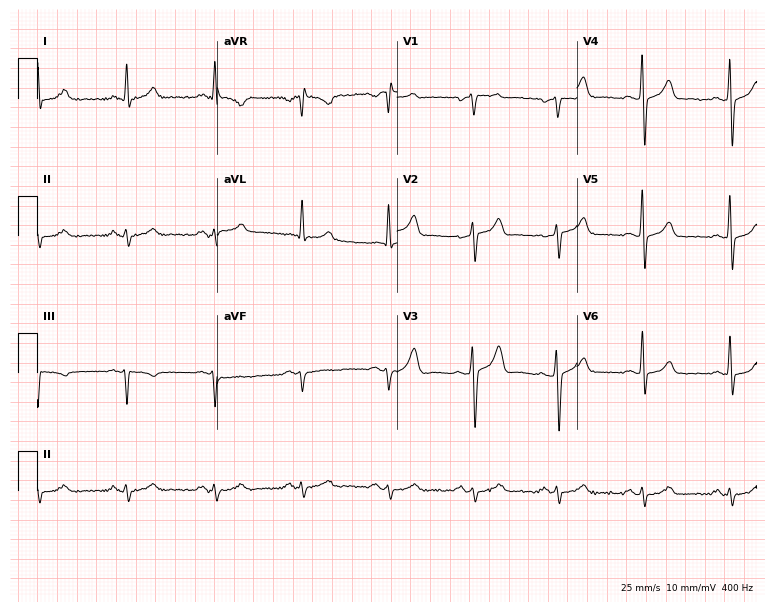
12-lead ECG from a 62-year-old male patient. Screened for six findings — first-degree AV block, right bundle branch block, left bundle branch block, sinus bradycardia, atrial fibrillation, sinus tachycardia — none is recorded. Findings outside these six are not listed.